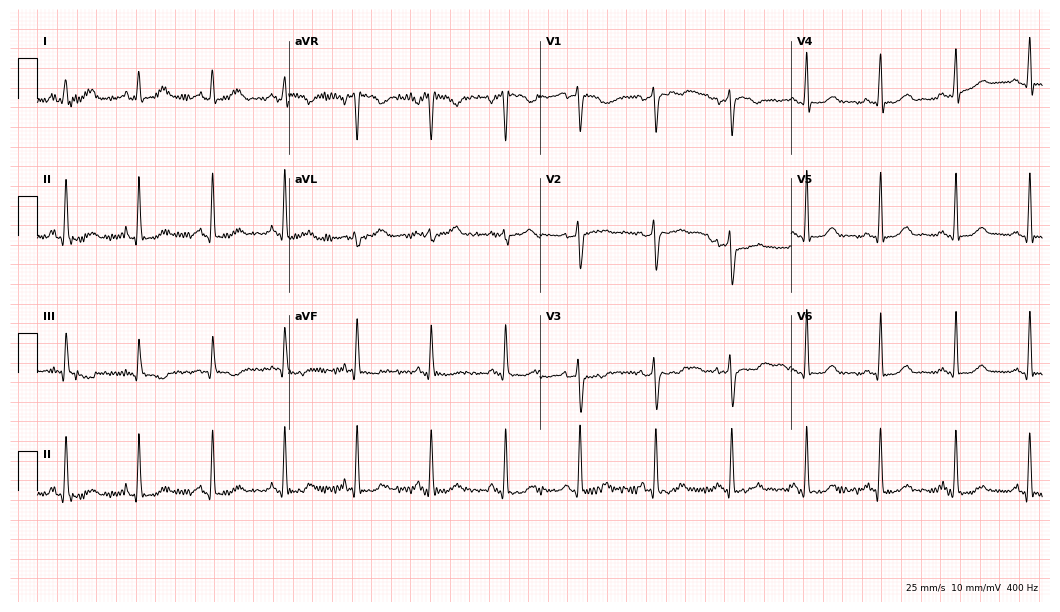
12-lead ECG from a female patient, 35 years old. Screened for six findings — first-degree AV block, right bundle branch block, left bundle branch block, sinus bradycardia, atrial fibrillation, sinus tachycardia — none is recorded. Only these six findings were labelled.